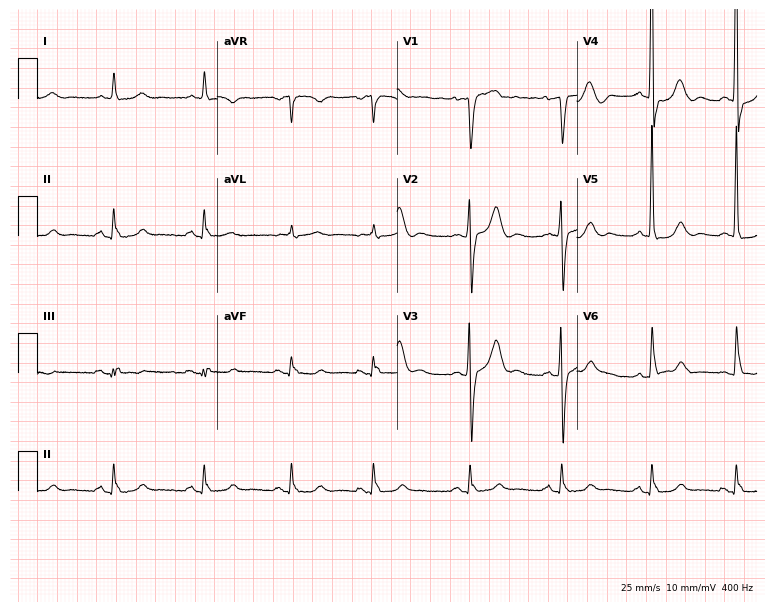
Standard 12-lead ECG recorded from a male, 85 years old. None of these six findings is recorded: first-degree AV block, right bundle branch block, left bundle branch block, sinus bradycardia, atrial fibrillation, sinus tachycardia. Other findings, if any, are not listed.